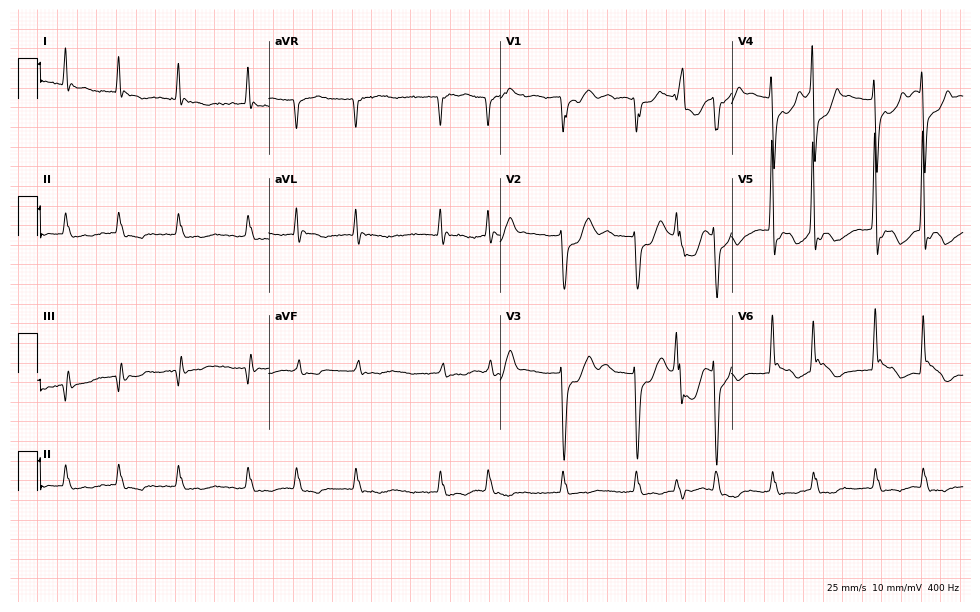
12-lead ECG (9.4-second recording at 400 Hz) from a male patient, 73 years old. Findings include atrial fibrillation.